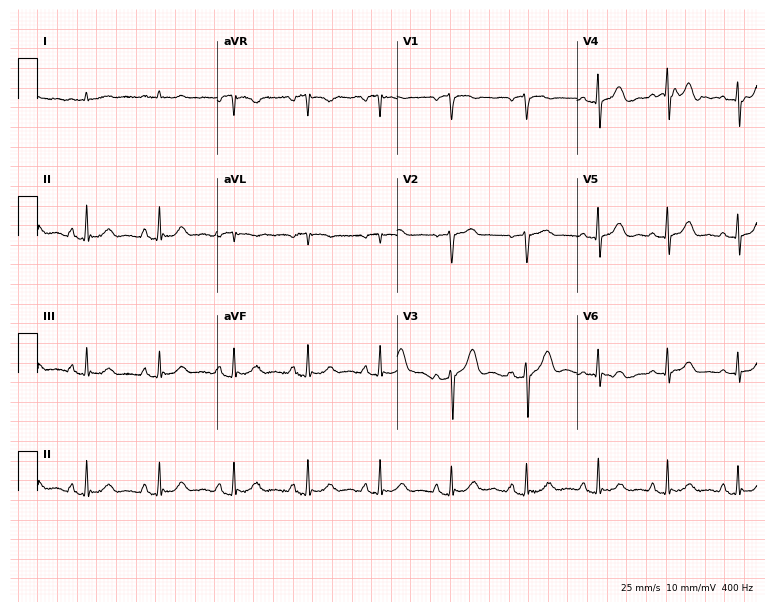
12-lead ECG from a 62-year-old male patient. Screened for six findings — first-degree AV block, right bundle branch block, left bundle branch block, sinus bradycardia, atrial fibrillation, sinus tachycardia — none is recorded.